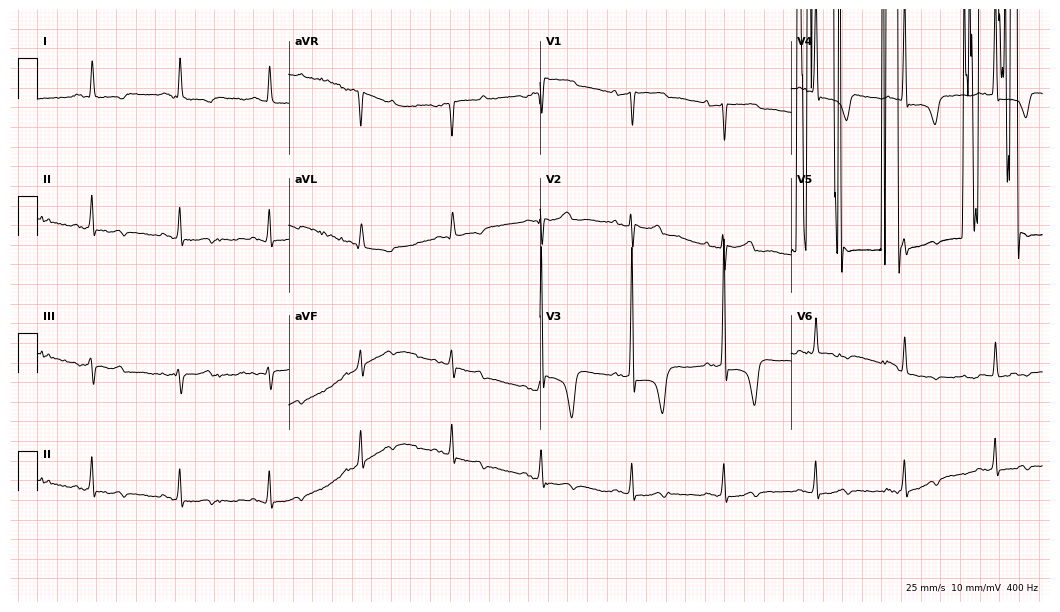
Resting 12-lead electrocardiogram. Patient: a 71-year-old female. None of these six findings is recorded: first-degree AV block, right bundle branch block, left bundle branch block, sinus bradycardia, atrial fibrillation, sinus tachycardia. Only these six findings were labelled.